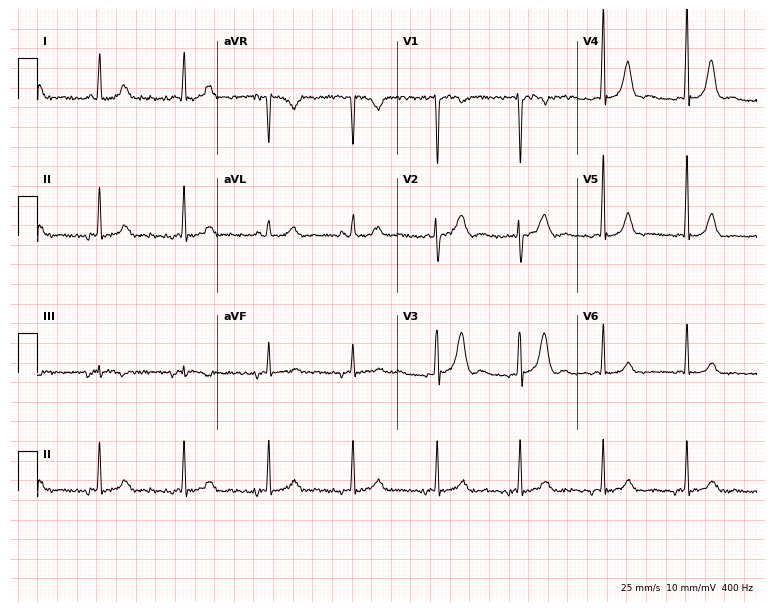
12-lead ECG from a woman, 48 years old (7.3-second recording at 400 Hz). No first-degree AV block, right bundle branch block (RBBB), left bundle branch block (LBBB), sinus bradycardia, atrial fibrillation (AF) or sinus tachycardia recorded for this tracing.